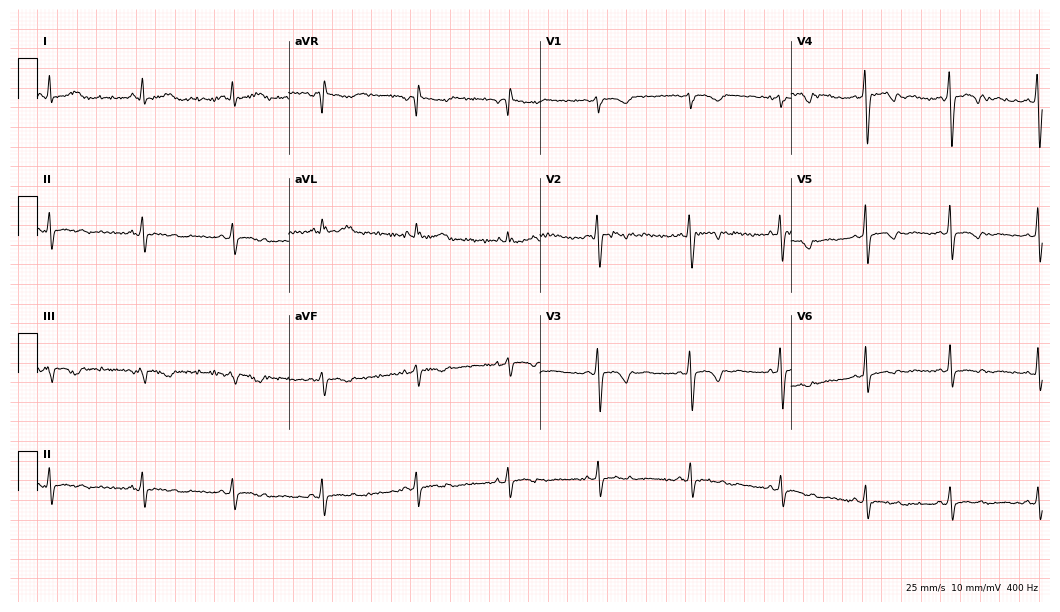
Resting 12-lead electrocardiogram (10.2-second recording at 400 Hz). Patient: a 40-year-old woman. Read as a normal ECG.